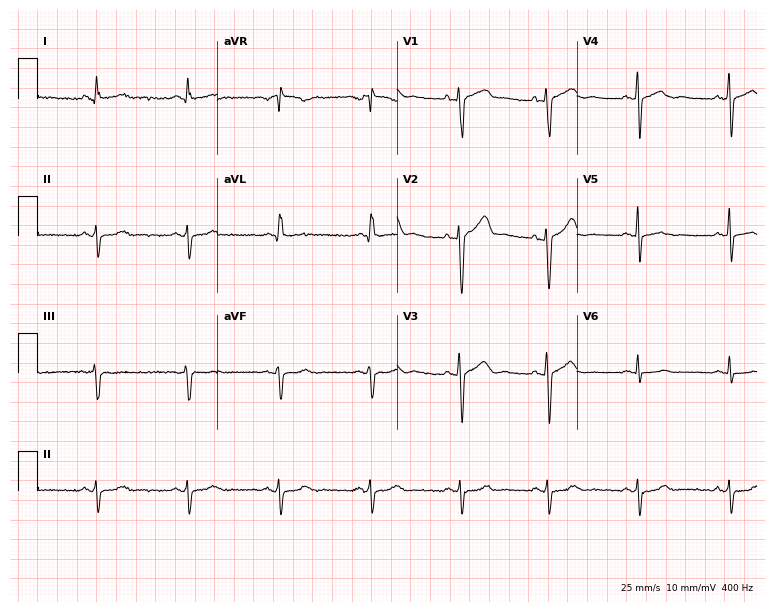
ECG — a 53-year-old male patient. Screened for six findings — first-degree AV block, right bundle branch block, left bundle branch block, sinus bradycardia, atrial fibrillation, sinus tachycardia — none is recorded.